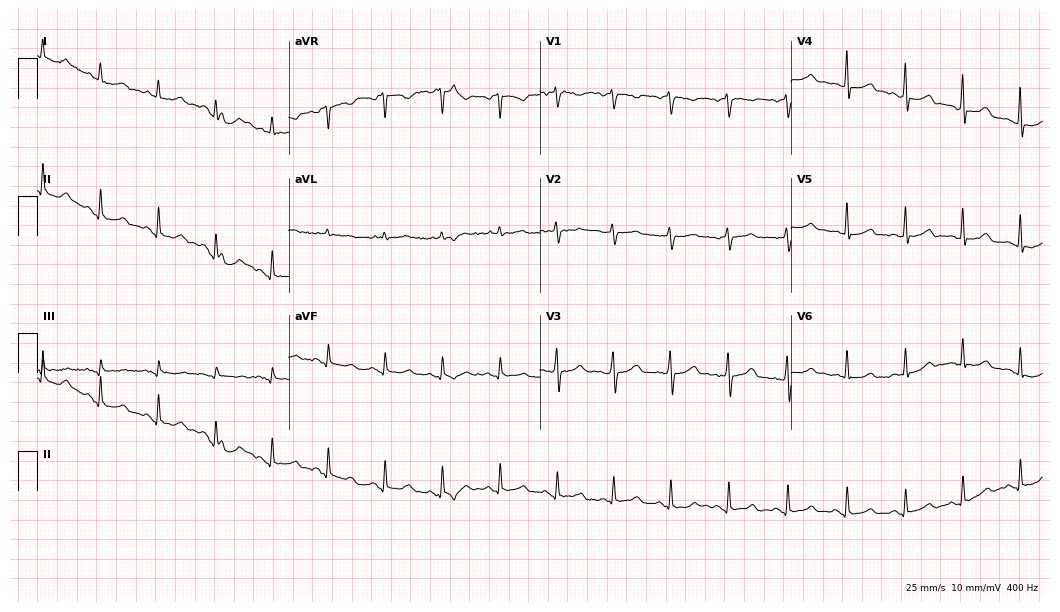
12-lead ECG (10.2-second recording at 400 Hz) from a female patient, 38 years old. Findings include sinus tachycardia (a sinus rate of 100 beats per minute or more).